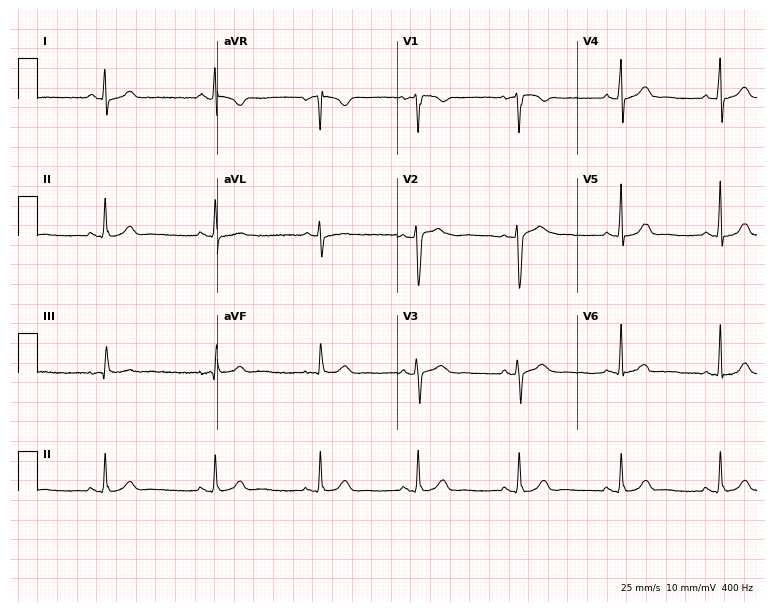
12-lead ECG from a female patient, 30 years old. Labelled as a normal ECG.